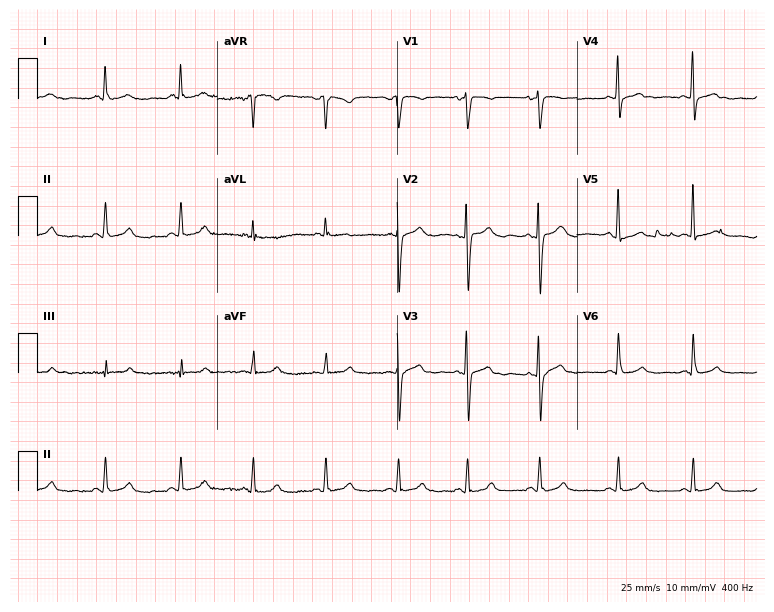
ECG (7.3-second recording at 400 Hz) — a female patient, 28 years old. Labelled as a normal ECG.